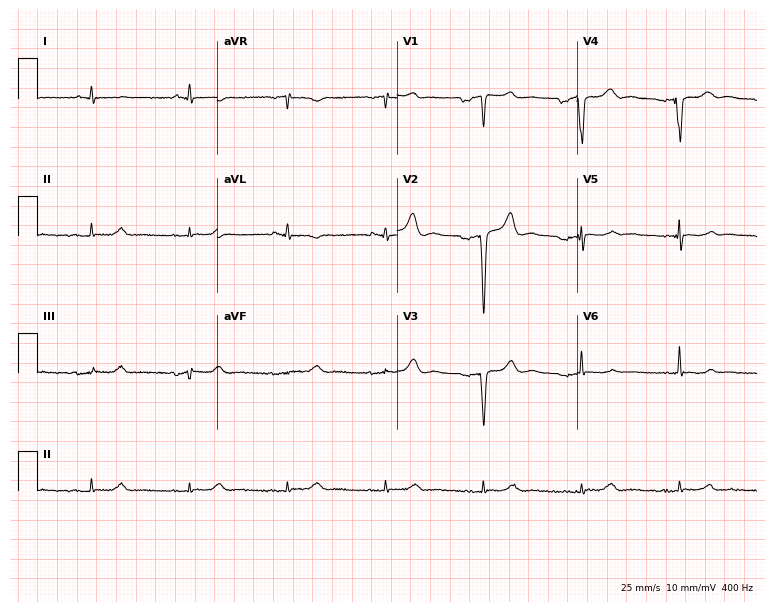
Resting 12-lead electrocardiogram. Patient: a male, 65 years old. None of these six findings is recorded: first-degree AV block, right bundle branch block, left bundle branch block, sinus bradycardia, atrial fibrillation, sinus tachycardia. Only these six findings were labelled.